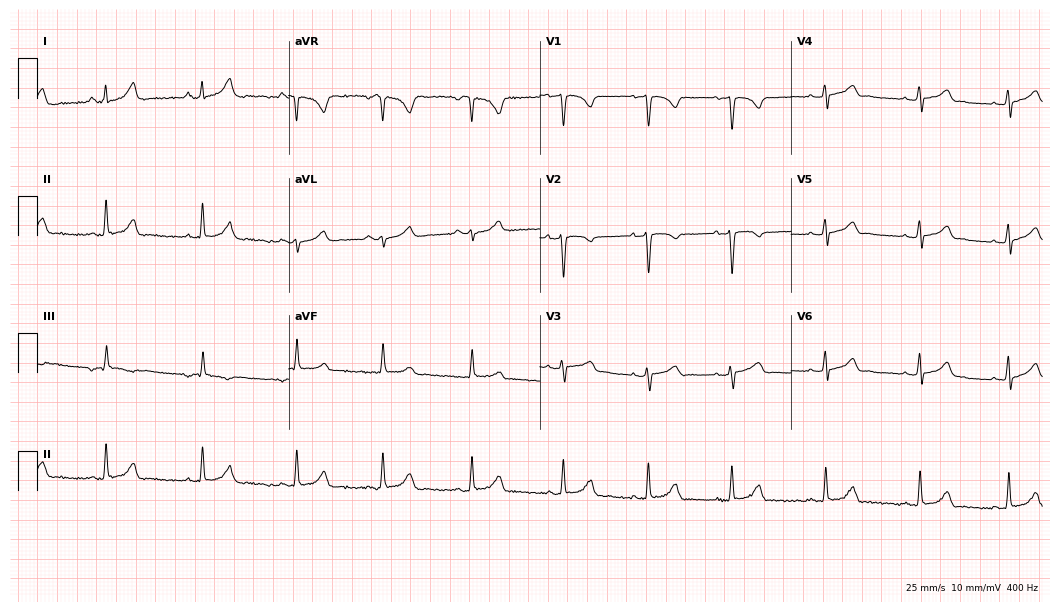
12-lead ECG from a female, 22 years old. Labelled as a normal ECG.